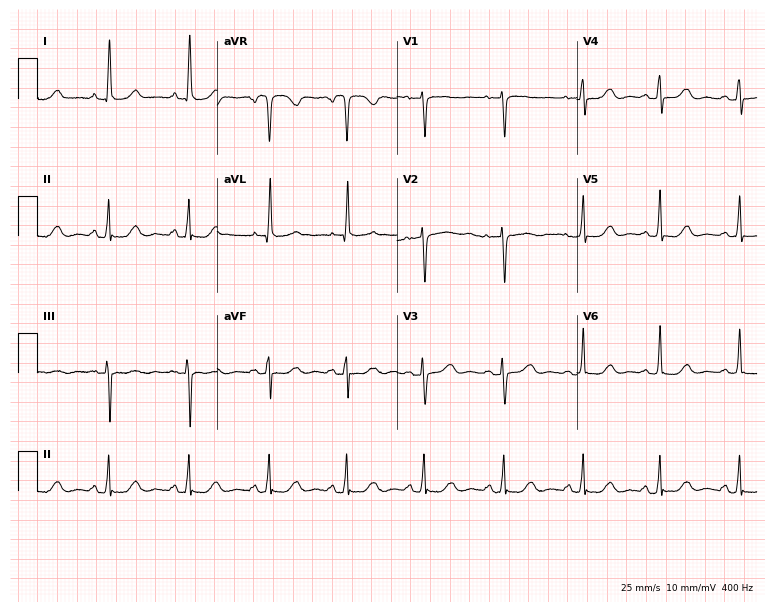
12-lead ECG (7.3-second recording at 400 Hz) from a 51-year-old woman. Screened for six findings — first-degree AV block, right bundle branch block, left bundle branch block, sinus bradycardia, atrial fibrillation, sinus tachycardia — none is recorded. Other findings, if any, are not listed.